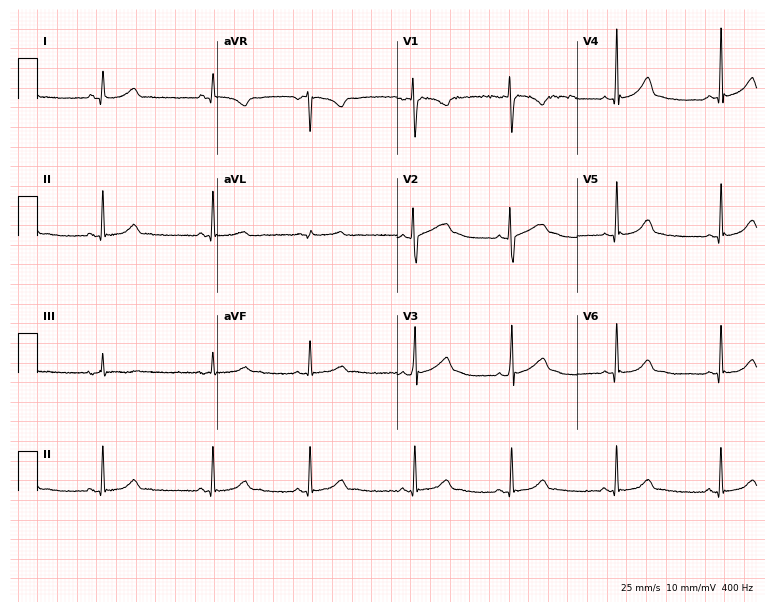
ECG — a 20-year-old woman. Labelled as a normal ECG.